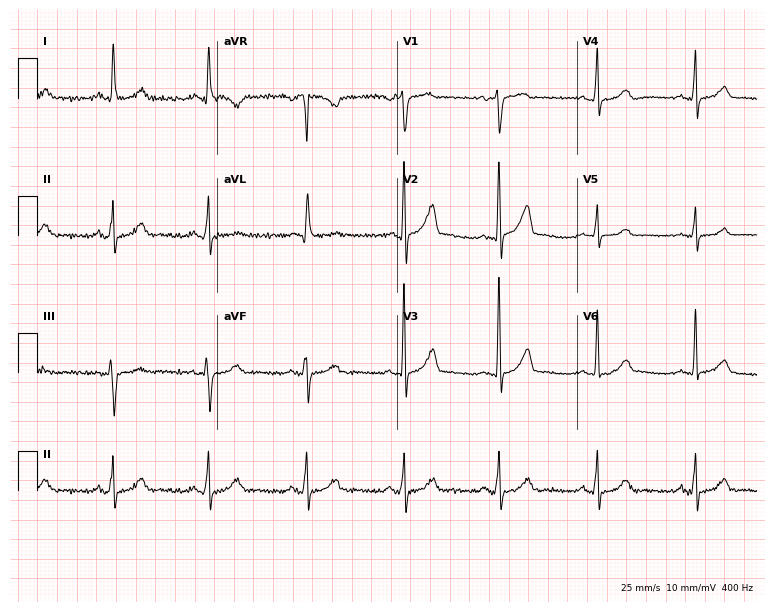
Standard 12-lead ECG recorded from a 44-year-old female. None of these six findings is recorded: first-degree AV block, right bundle branch block (RBBB), left bundle branch block (LBBB), sinus bradycardia, atrial fibrillation (AF), sinus tachycardia.